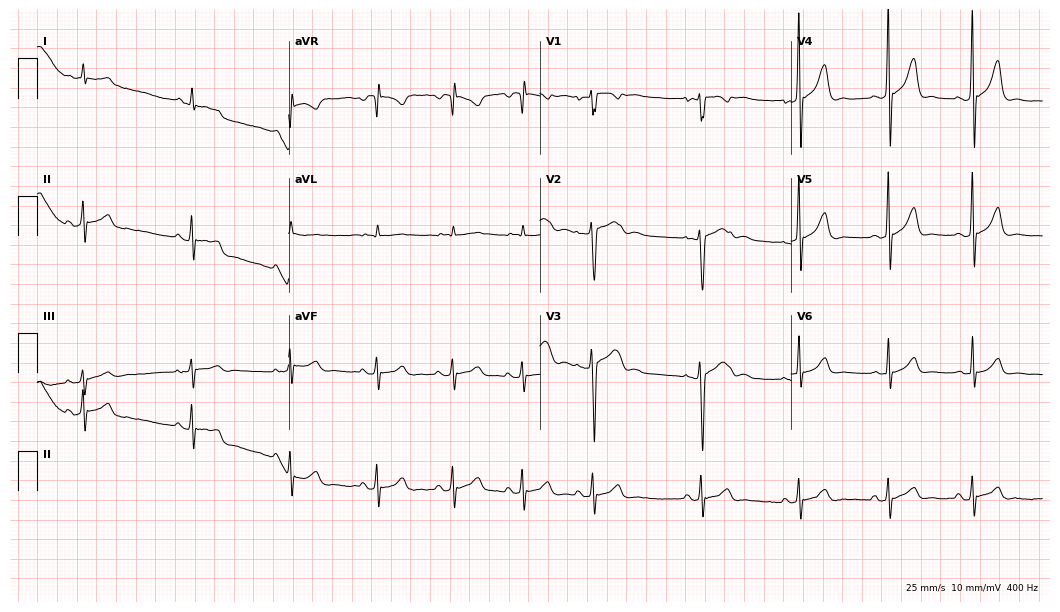
Electrocardiogram (10.2-second recording at 400 Hz), a woman, 75 years old. Of the six screened findings (first-degree AV block, right bundle branch block (RBBB), left bundle branch block (LBBB), sinus bradycardia, atrial fibrillation (AF), sinus tachycardia), none is recorded. Findings outside these six are not listed.